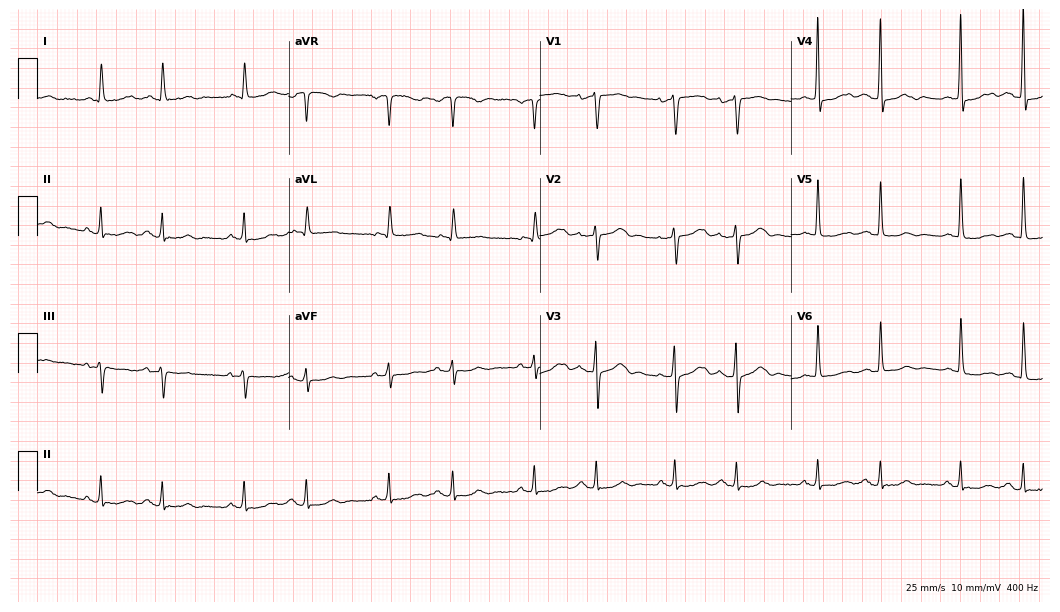
ECG (10.2-second recording at 400 Hz) — a 67-year-old female patient. Screened for six findings — first-degree AV block, right bundle branch block, left bundle branch block, sinus bradycardia, atrial fibrillation, sinus tachycardia — none is recorded. Other findings, if any, are not listed.